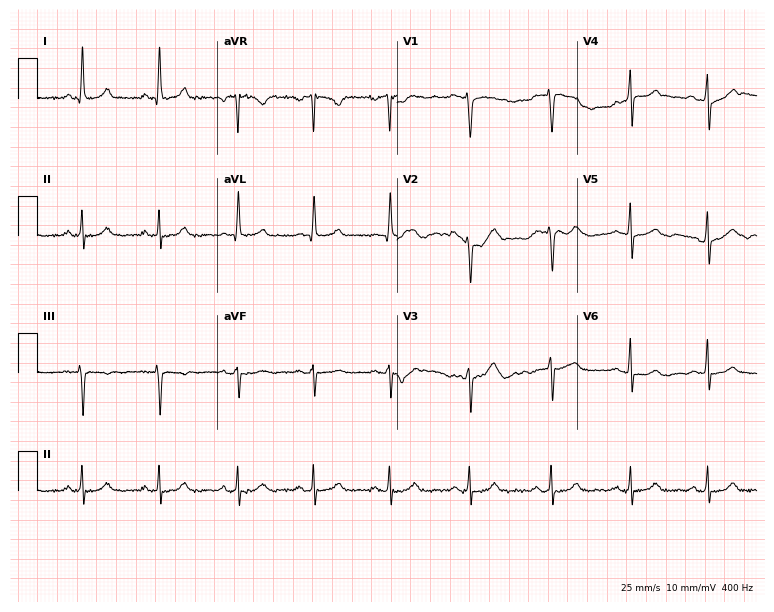
ECG (7.3-second recording at 400 Hz) — a female, 44 years old. Labelled as a normal ECG.